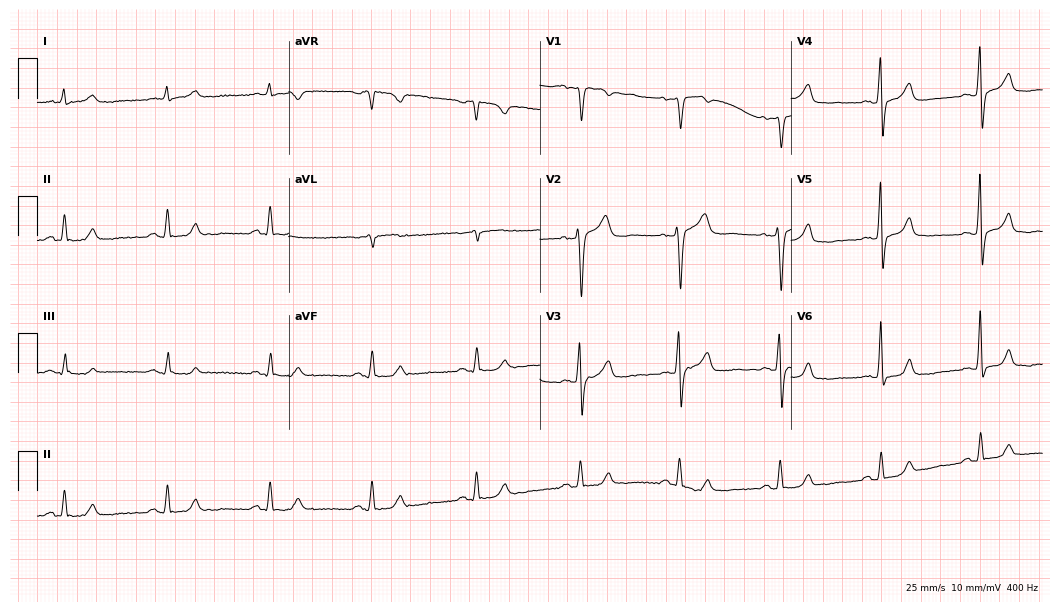
ECG (10.2-second recording at 400 Hz) — a male, 77 years old. Screened for six findings — first-degree AV block, right bundle branch block (RBBB), left bundle branch block (LBBB), sinus bradycardia, atrial fibrillation (AF), sinus tachycardia — none is recorded.